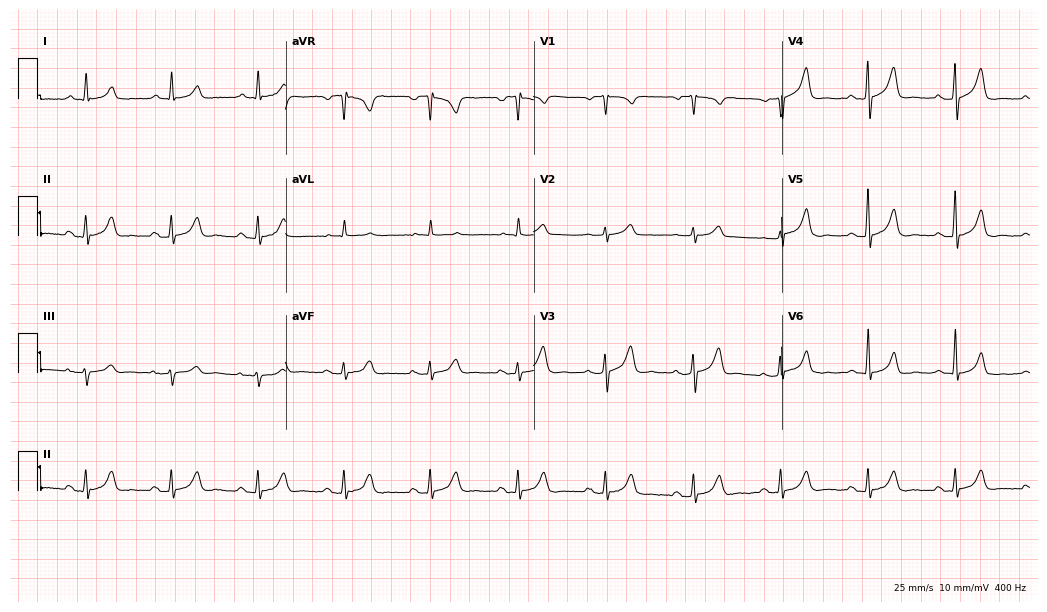
Resting 12-lead electrocardiogram. Patient: a 72-year-old male. Read as a normal ECG.